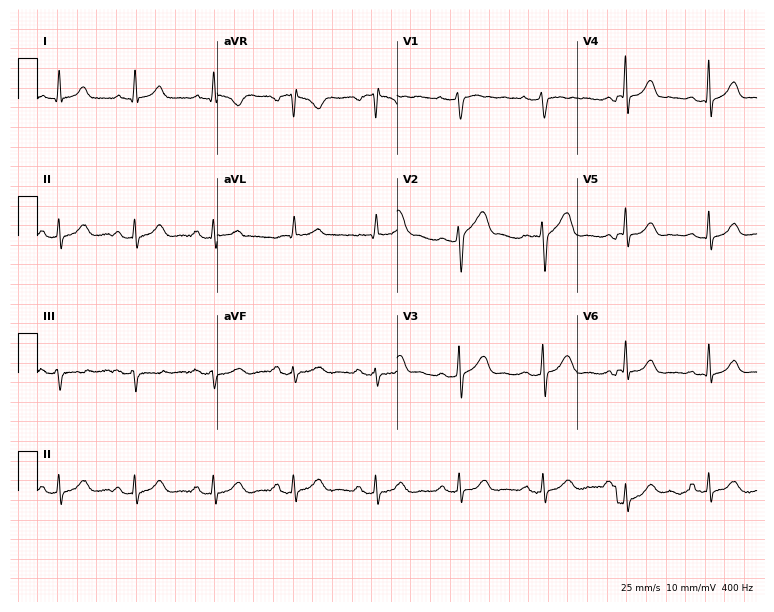
ECG — a man, 40 years old. Labelled as a normal ECG.